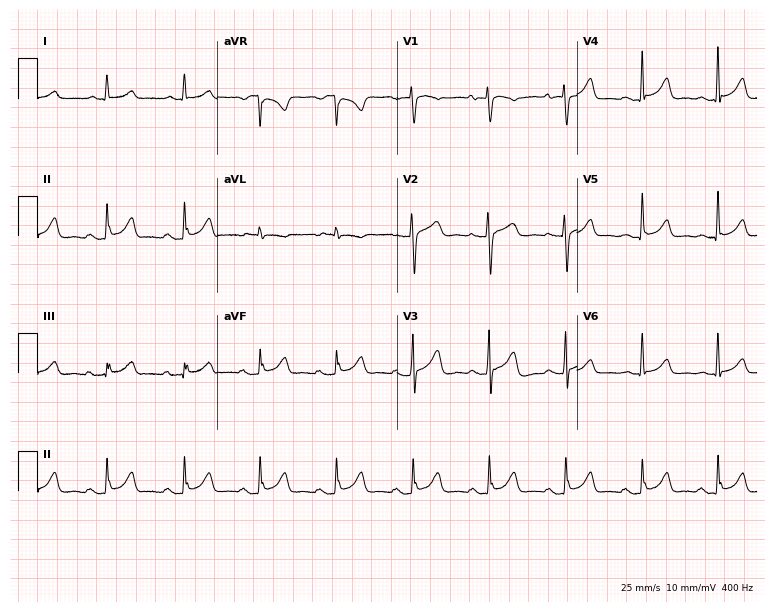
12-lead ECG from a female patient, 84 years old. Labelled as a normal ECG.